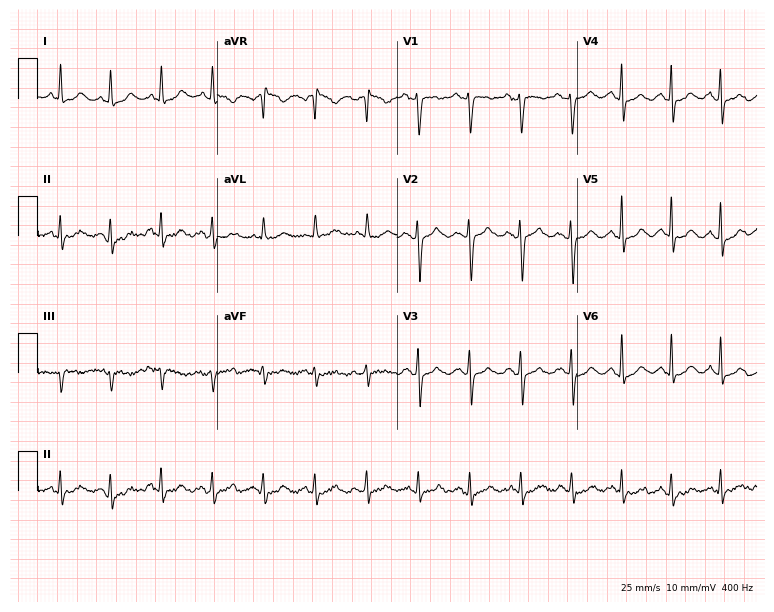
Electrocardiogram (7.3-second recording at 400 Hz), a 42-year-old woman. Interpretation includes sinus tachycardia (a sinus rate of 100 beats per minute or more).